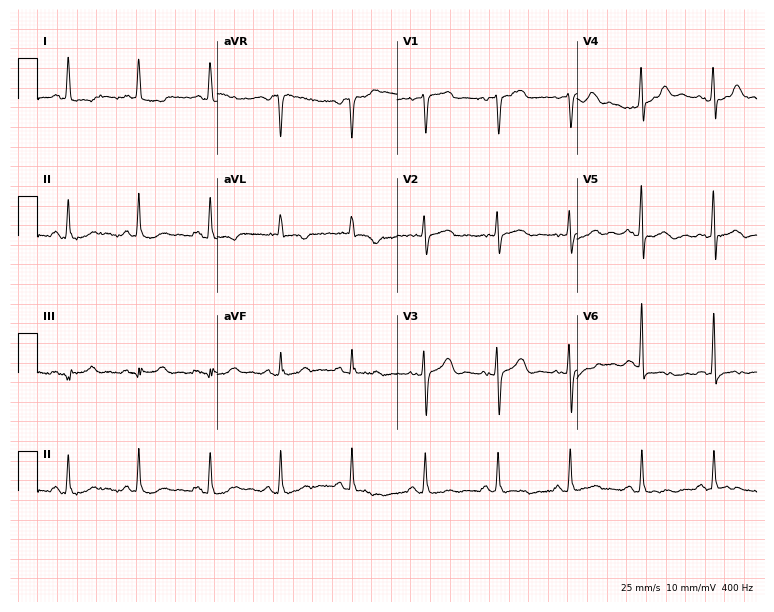
Standard 12-lead ECG recorded from a 73-year-old female patient. None of these six findings is recorded: first-degree AV block, right bundle branch block, left bundle branch block, sinus bradycardia, atrial fibrillation, sinus tachycardia.